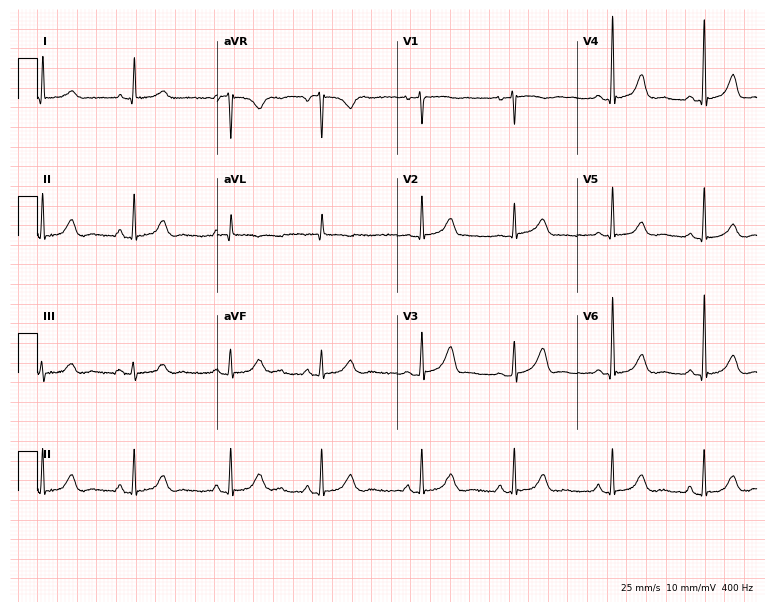
Standard 12-lead ECG recorded from a woman, 83 years old. Read as a normal ECG.